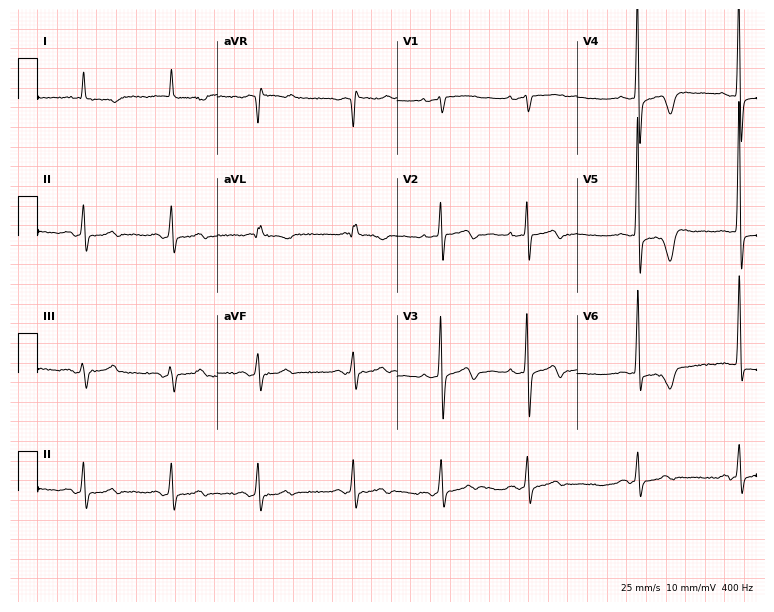
12-lead ECG from a female, 84 years old (7.3-second recording at 400 Hz). No first-degree AV block, right bundle branch block, left bundle branch block, sinus bradycardia, atrial fibrillation or sinus tachycardia recorded for this tracing. Only these six findings were labelled.